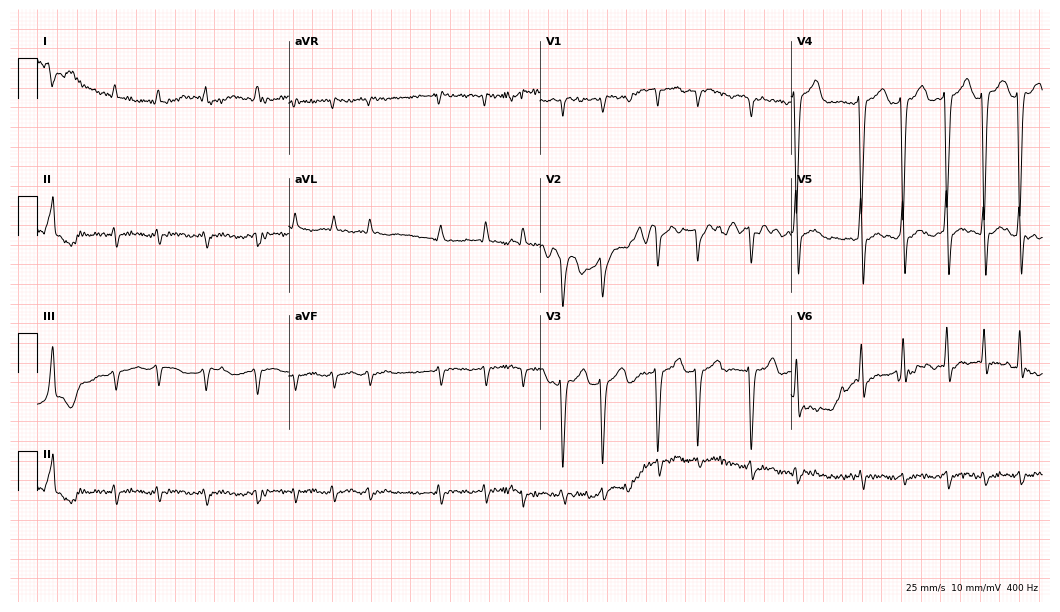
12-lead ECG from an 83-year-old male (10.2-second recording at 400 Hz). Shows atrial fibrillation (AF).